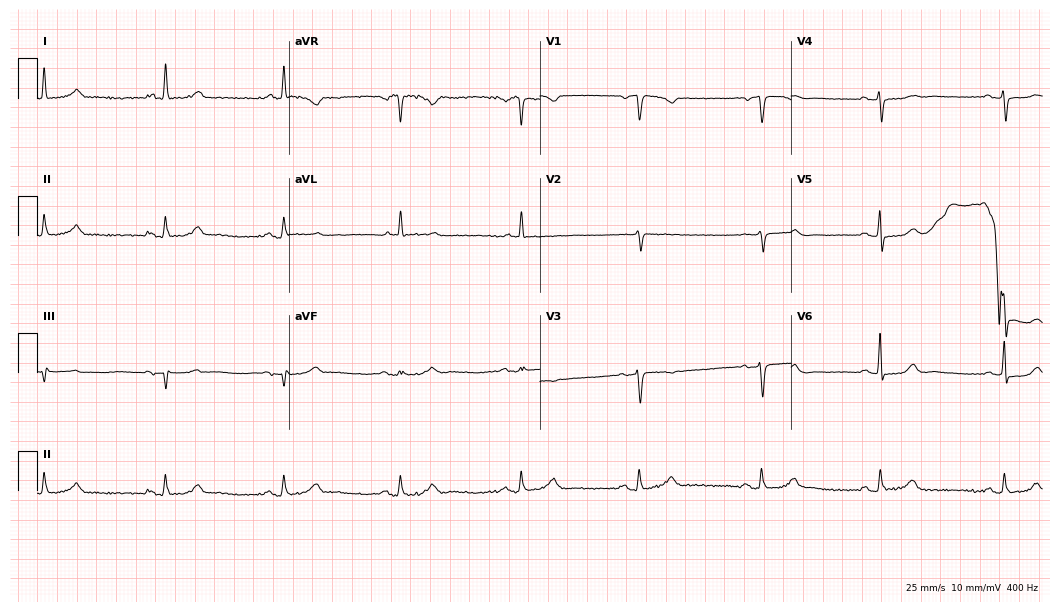
ECG — a 66-year-old woman. Findings include sinus bradycardia (a sinus rate of 50 beats per minute or less).